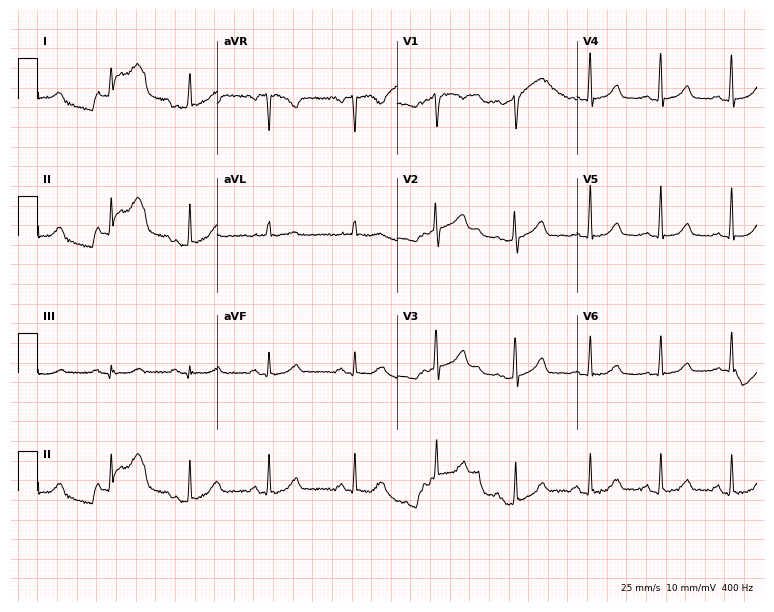
12-lead ECG from a female, 53 years old. Screened for six findings — first-degree AV block, right bundle branch block, left bundle branch block, sinus bradycardia, atrial fibrillation, sinus tachycardia — none is recorded.